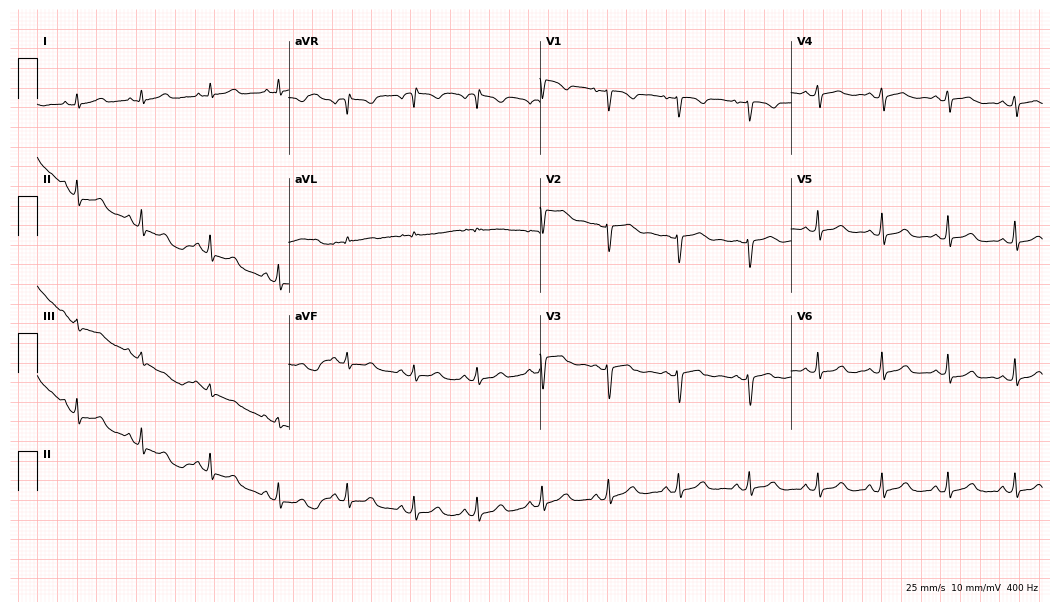
Standard 12-lead ECG recorded from a female, 52 years old. None of these six findings is recorded: first-degree AV block, right bundle branch block (RBBB), left bundle branch block (LBBB), sinus bradycardia, atrial fibrillation (AF), sinus tachycardia. Only these six findings were labelled.